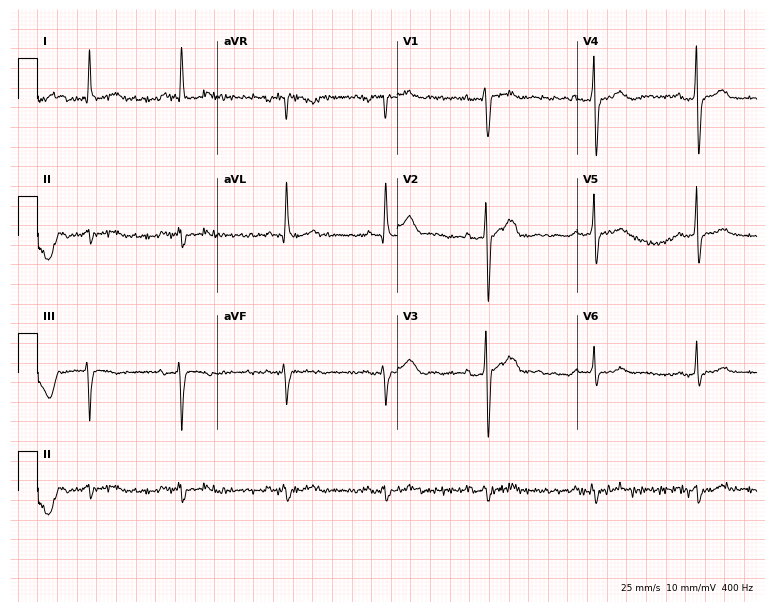
12-lead ECG from a 67-year-old man. Screened for six findings — first-degree AV block, right bundle branch block, left bundle branch block, sinus bradycardia, atrial fibrillation, sinus tachycardia — none is recorded. Findings outside these six are not listed.